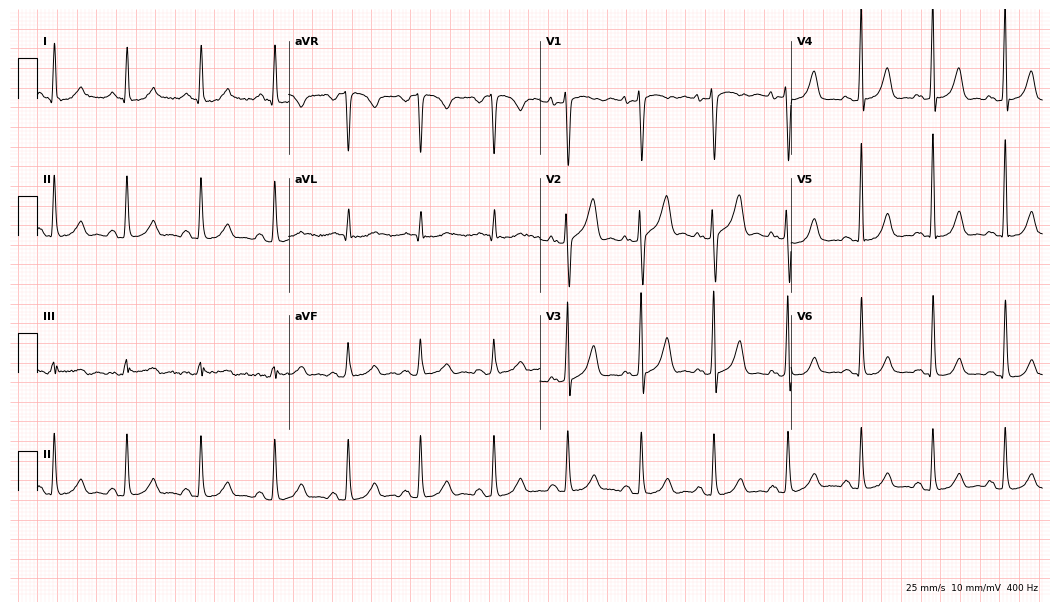
Electrocardiogram, a 29-year-old female. Overall reading on record: normal ECG.